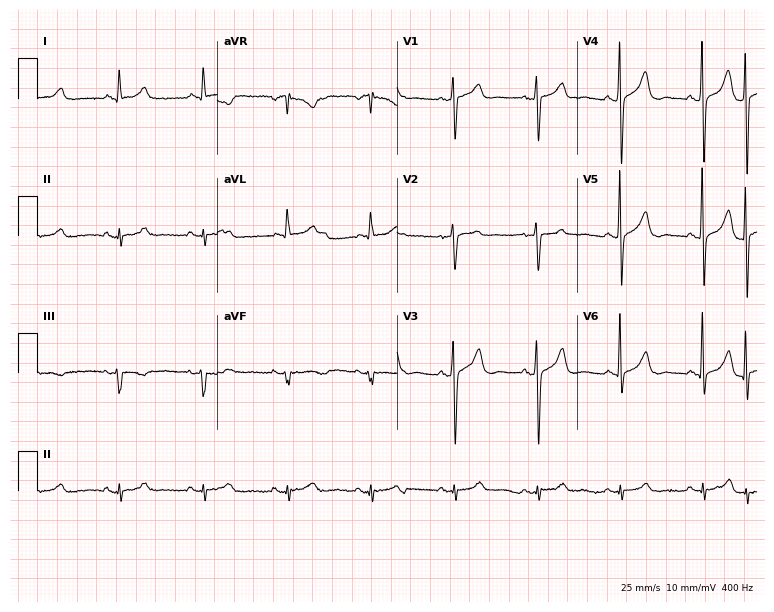
ECG (7.3-second recording at 400 Hz) — a man, 77 years old. Screened for six findings — first-degree AV block, right bundle branch block, left bundle branch block, sinus bradycardia, atrial fibrillation, sinus tachycardia — none is recorded. Only these six findings were labelled.